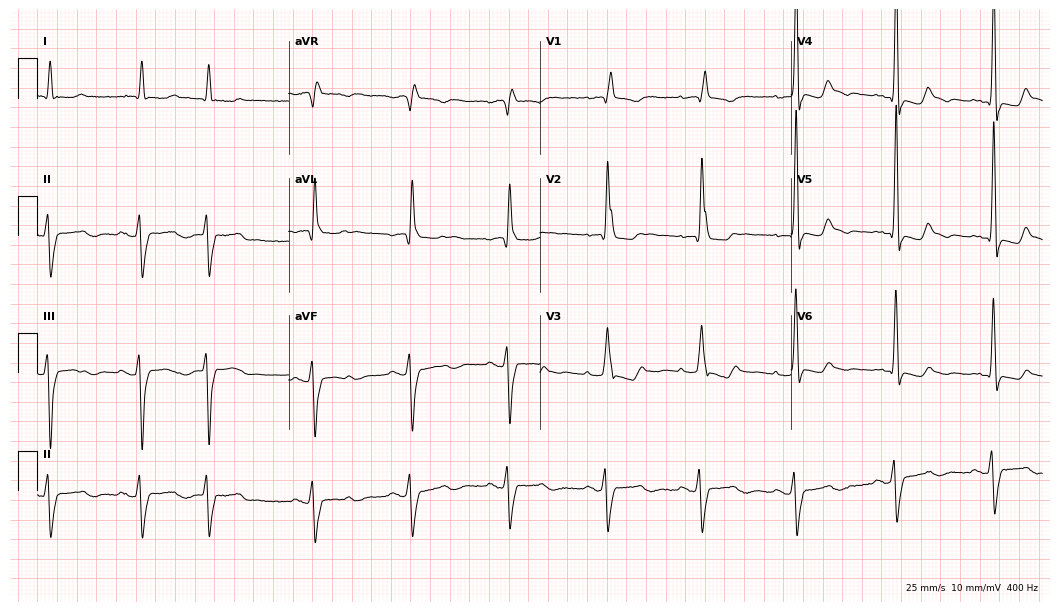
12-lead ECG from a 78-year-old female patient. Findings include right bundle branch block.